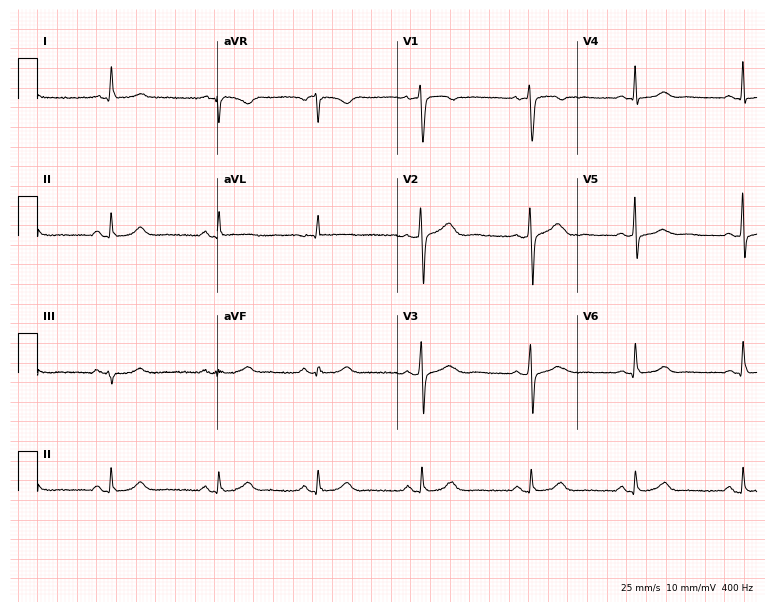
ECG — a 63-year-old female patient. Labelled as a normal ECG.